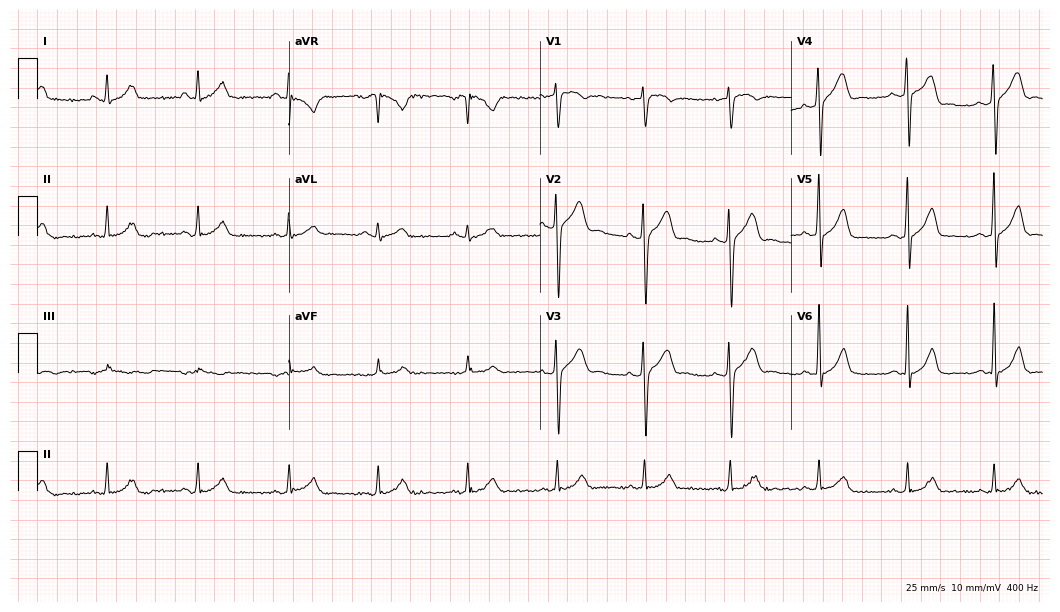
12-lead ECG from a 40-year-old man. Screened for six findings — first-degree AV block, right bundle branch block, left bundle branch block, sinus bradycardia, atrial fibrillation, sinus tachycardia — none is recorded.